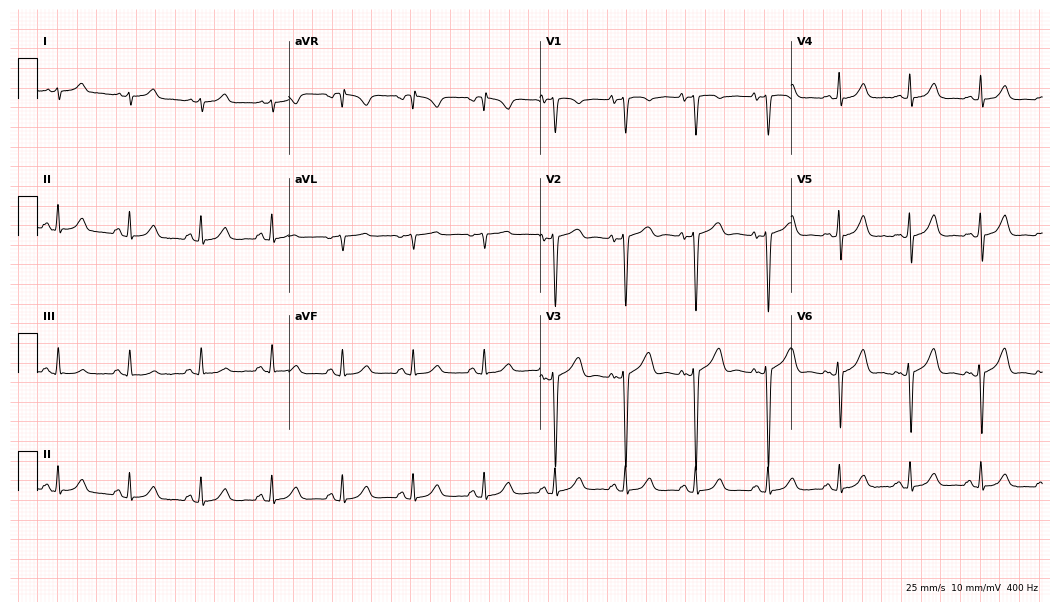
Electrocardiogram, a 56-year-old male patient. Of the six screened findings (first-degree AV block, right bundle branch block (RBBB), left bundle branch block (LBBB), sinus bradycardia, atrial fibrillation (AF), sinus tachycardia), none is recorded. Findings outside these six are not listed.